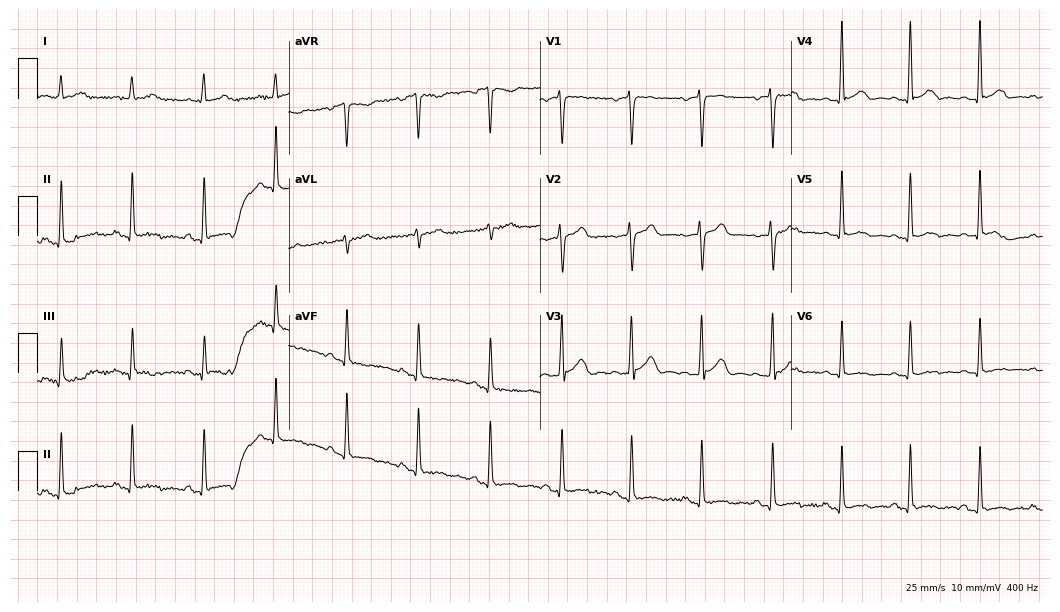
Electrocardiogram, a male, 43 years old. Of the six screened findings (first-degree AV block, right bundle branch block (RBBB), left bundle branch block (LBBB), sinus bradycardia, atrial fibrillation (AF), sinus tachycardia), none is recorded.